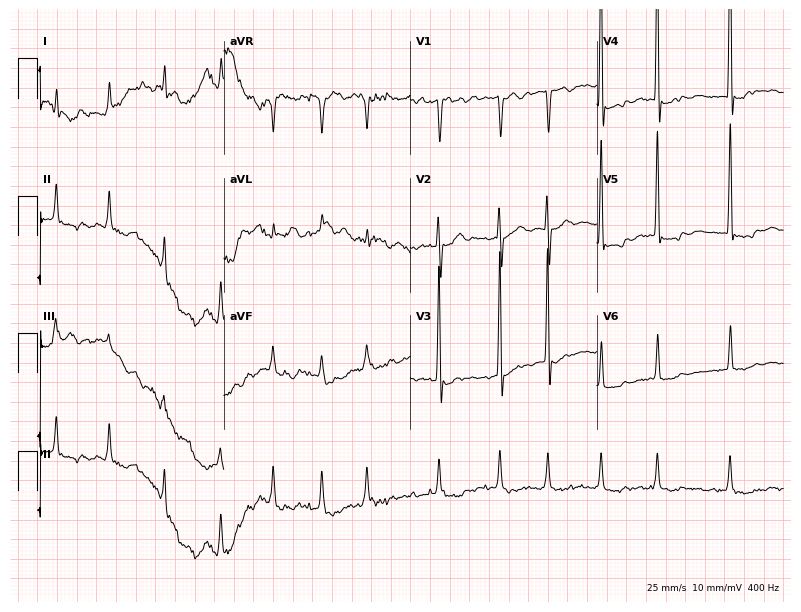
12-lead ECG from an 85-year-old man. Screened for six findings — first-degree AV block, right bundle branch block (RBBB), left bundle branch block (LBBB), sinus bradycardia, atrial fibrillation (AF), sinus tachycardia — none is recorded.